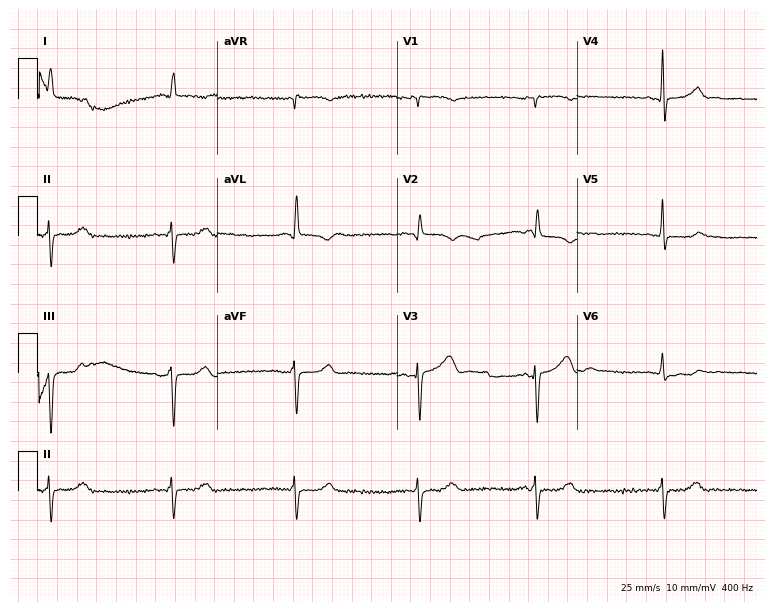
12-lead ECG from a male, 75 years old (7.3-second recording at 400 Hz). No first-degree AV block, right bundle branch block, left bundle branch block, sinus bradycardia, atrial fibrillation or sinus tachycardia recorded for this tracing.